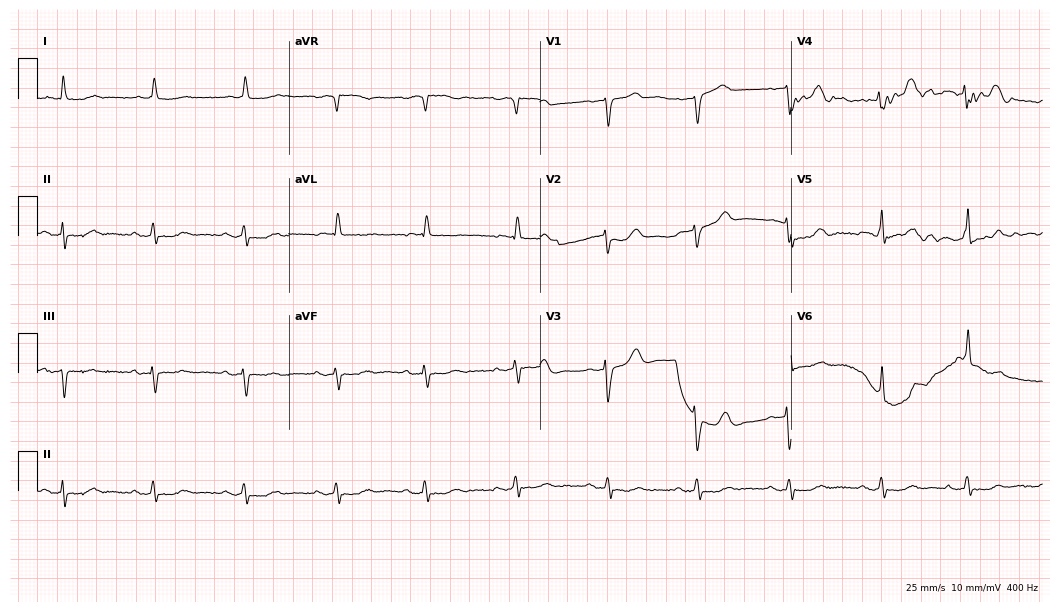
12-lead ECG from an 83-year-old female patient (10.2-second recording at 400 Hz). No first-degree AV block, right bundle branch block (RBBB), left bundle branch block (LBBB), sinus bradycardia, atrial fibrillation (AF) or sinus tachycardia recorded for this tracing.